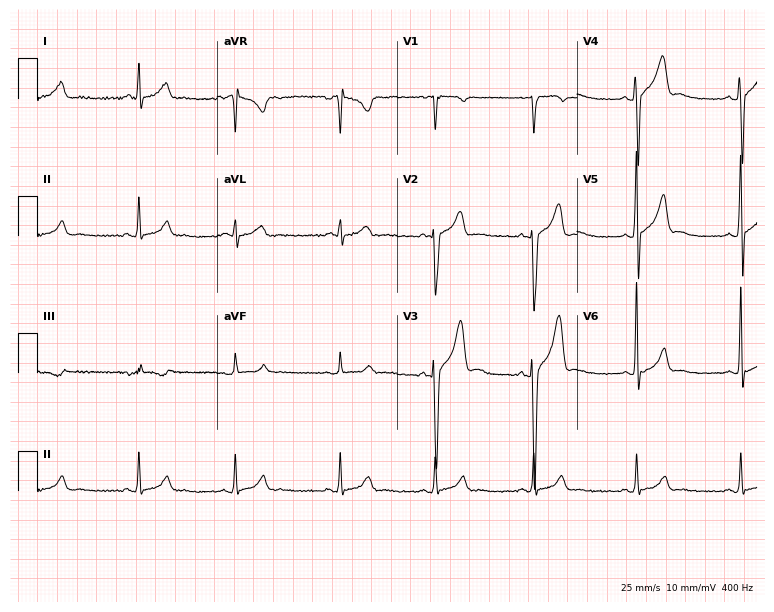
12-lead ECG (7.3-second recording at 400 Hz) from a man, 26 years old. Screened for six findings — first-degree AV block, right bundle branch block, left bundle branch block, sinus bradycardia, atrial fibrillation, sinus tachycardia — none is recorded. Findings outside these six are not listed.